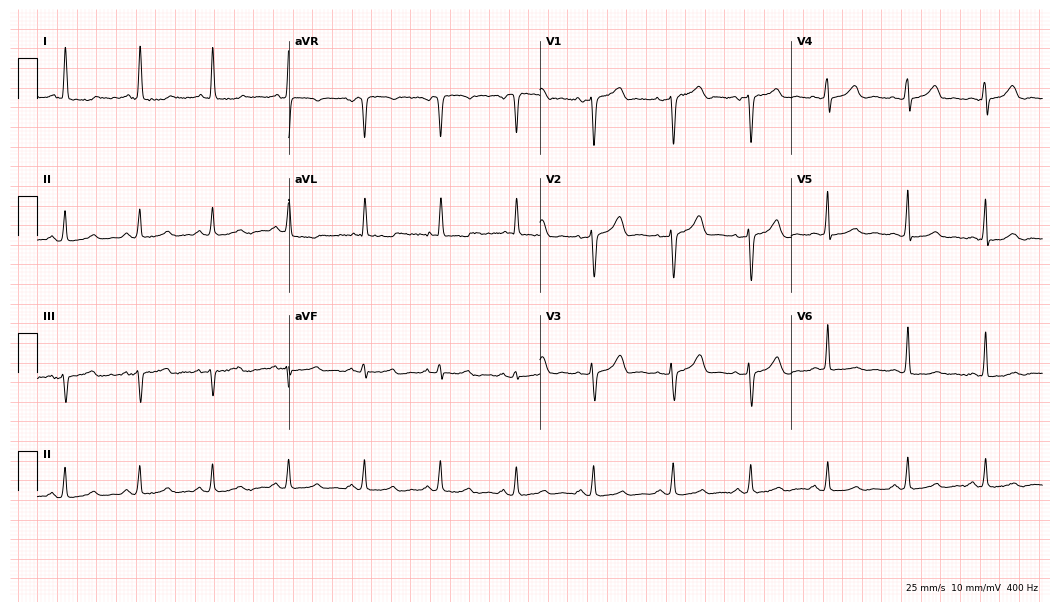
Electrocardiogram, a female patient, 55 years old. Of the six screened findings (first-degree AV block, right bundle branch block, left bundle branch block, sinus bradycardia, atrial fibrillation, sinus tachycardia), none is recorded.